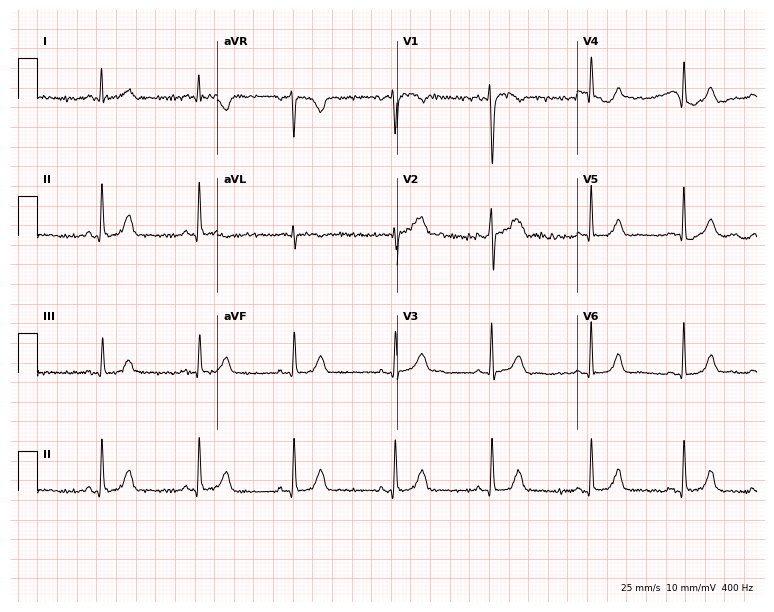
Resting 12-lead electrocardiogram. Patient: a male, 34 years old. Read as a normal ECG.